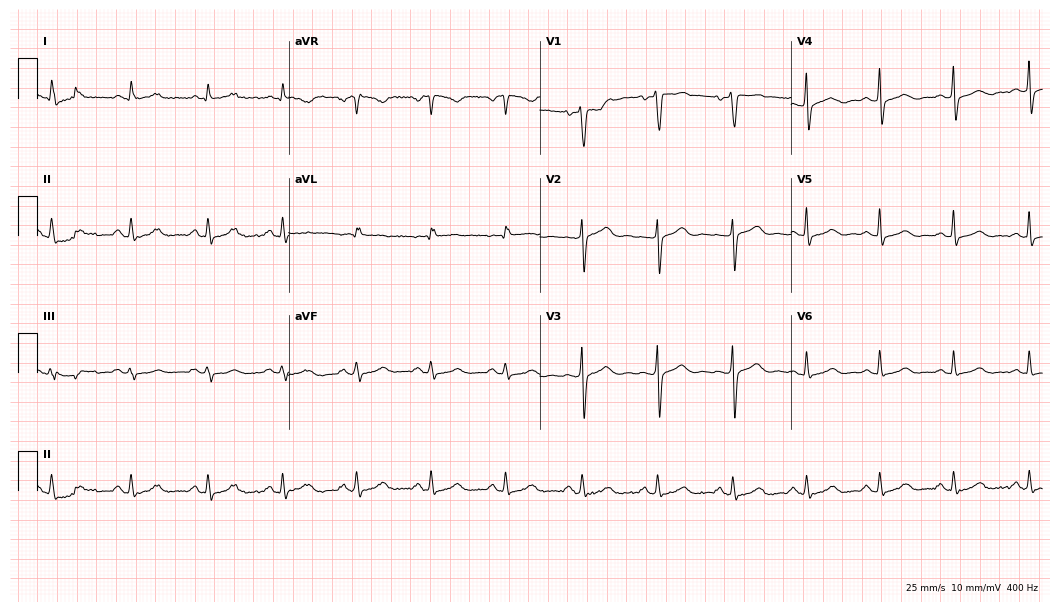
ECG (10.2-second recording at 400 Hz) — a 60-year-old male patient. Screened for six findings — first-degree AV block, right bundle branch block (RBBB), left bundle branch block (LBBB), sinus bradycardia, atrial fibrillation (AF), sinus tachycardia — none is recorded. Other findings, if any, are not listed.